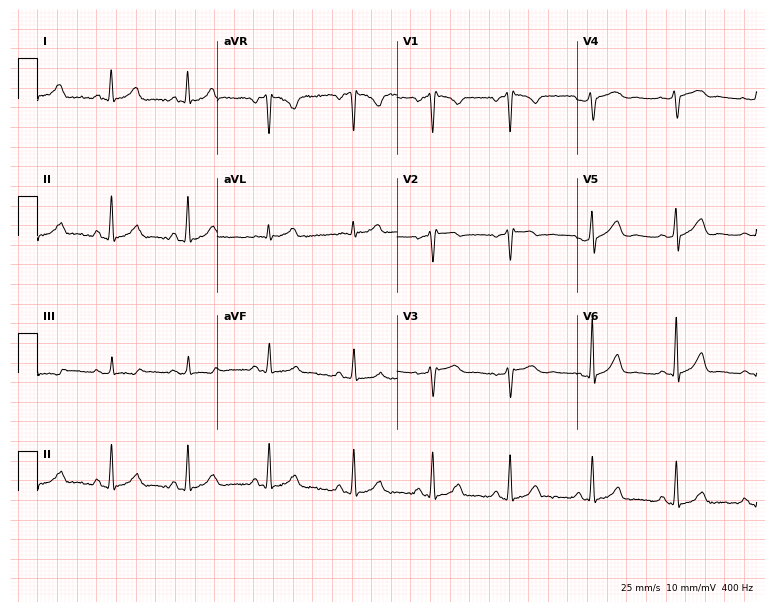
12-lead ECG from a woman, 39 years old (7.3-second recording at 400 Hz). No first-degree AV block, right bundle branch block (RBBB), left bundle branch block (LBBB), sinus bradycardia, atrial fibrillation (AF) or sinus tachycardia recorded for this tracing. Findings outside these six are not listed.